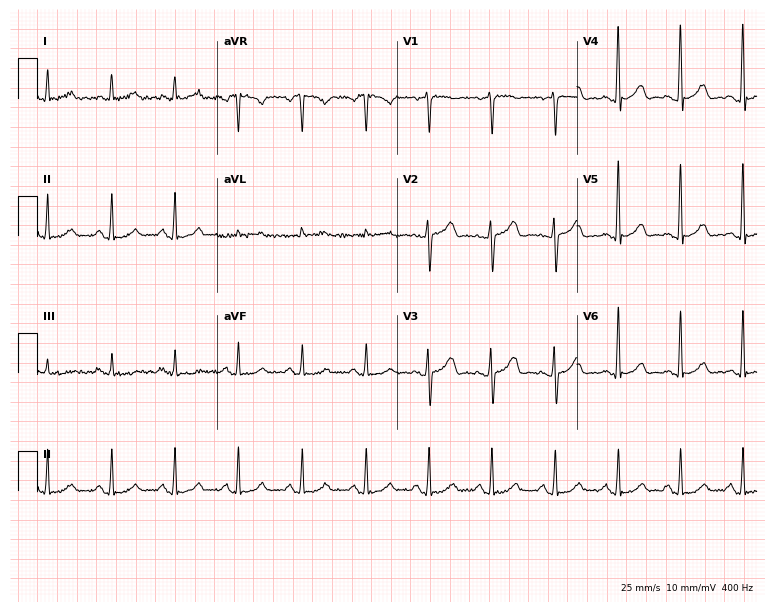
Standard 12-lead ECG recorded from a woman, 46 years old. Read as a normal ECG.